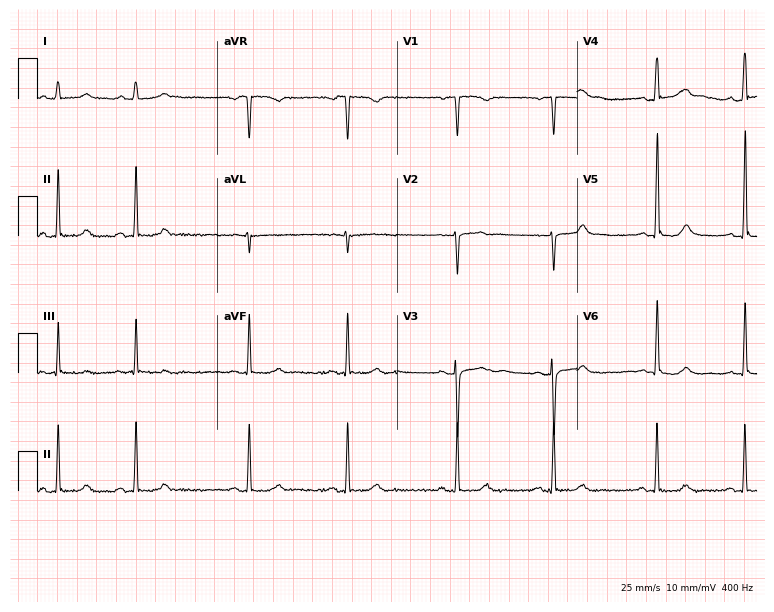
Standard 12-lead ECG recorded from a woman, 20 years old. None of these six findings is recorded: first-degree AV block, right bundle branch block (RBBB), left bundle branch block (LBBB), sinus bradycardia, atrial fibrillation (AF), sinus tachycardia.